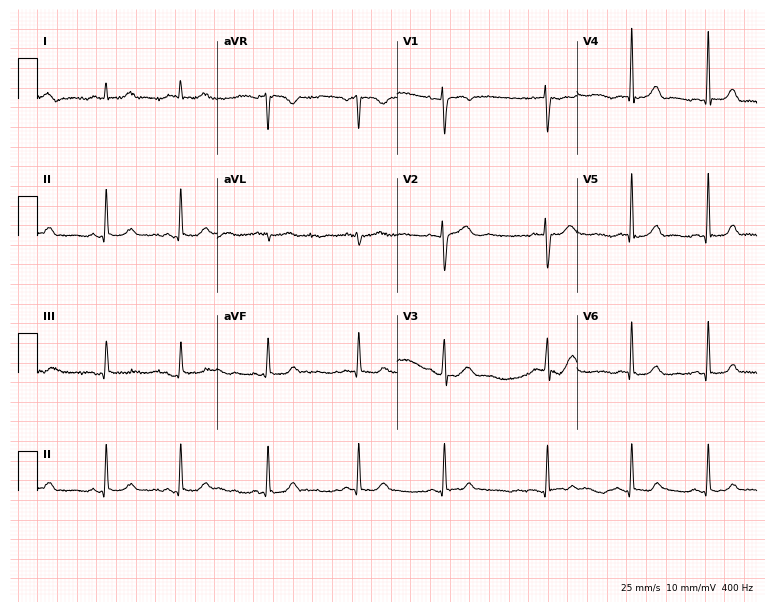
Standard 12-lead ECG recorded from a female patient, 23 years old (7.3-second recording at 400 Hz). None of these six findings is recorded: first-degree AV block, right bundle branch block, left bundle branch block, sinus bradycardia, atrial fibrillation, sinus tachycardia.